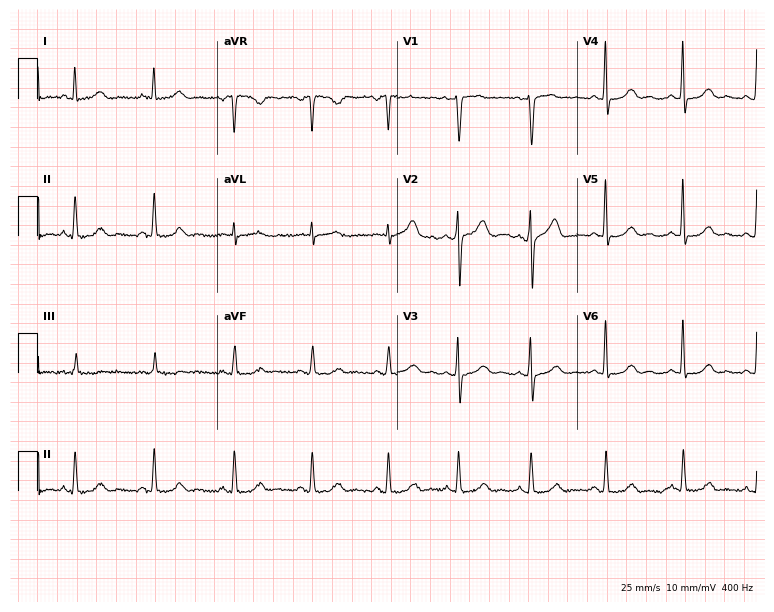
12-lead ECG from a female patient, 40 years old. Recorded interpretation: within normal limits.